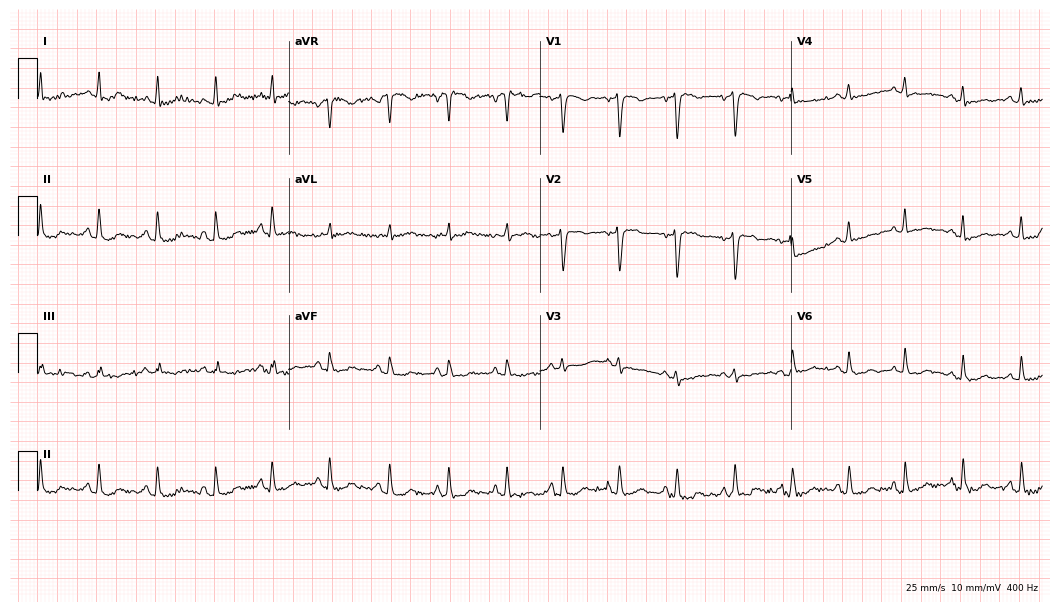
ECG — a woman, 29 years old. Findings include sinus tachycardia (a sinus rate of 100 beats per minute or more).